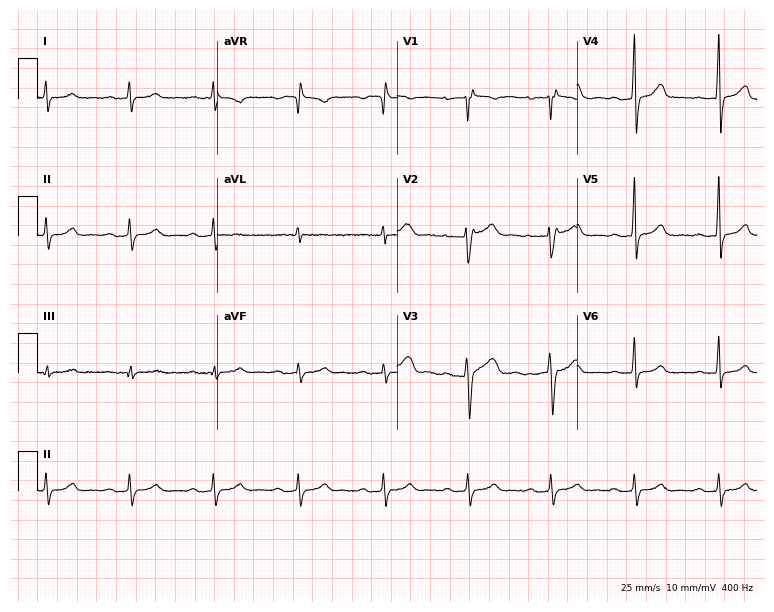
Resting 12-lead electrocardiogram (7.3-second recording at 400 Hz). Patient: a 38-year-old female. Read as a normal ECG.